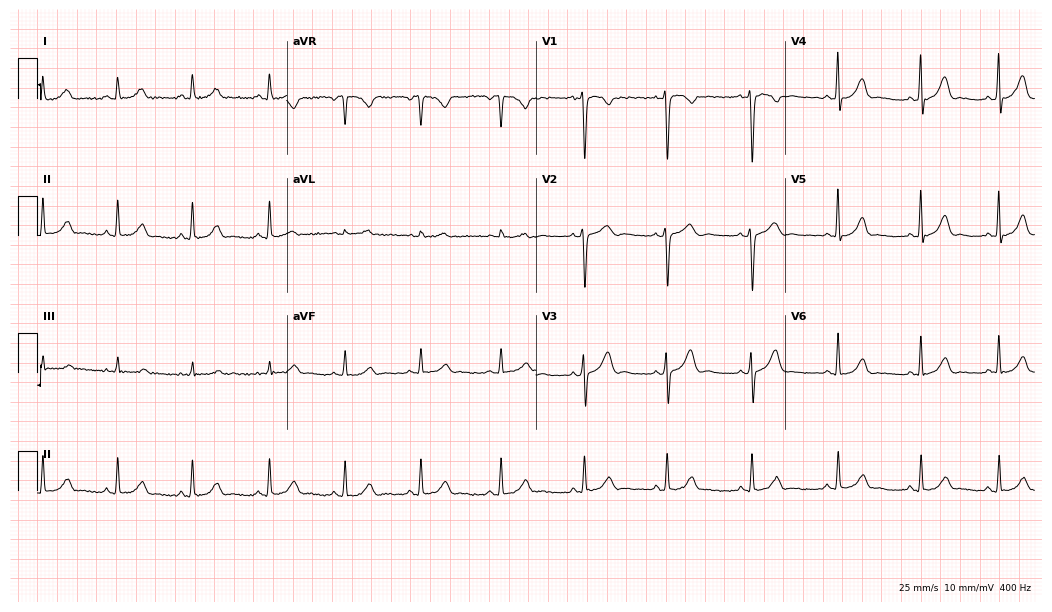
ECG — a 25-year-old female. Labelled as a normal ECG.